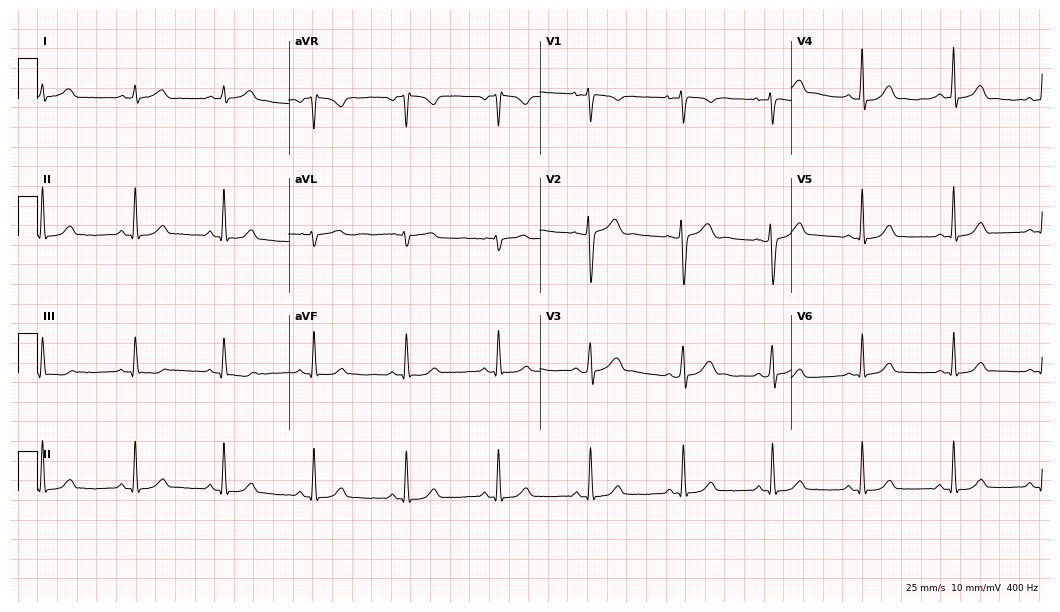
12-lead ECG from a woman, 35 years old. Recorded interpretation: within normal limits.